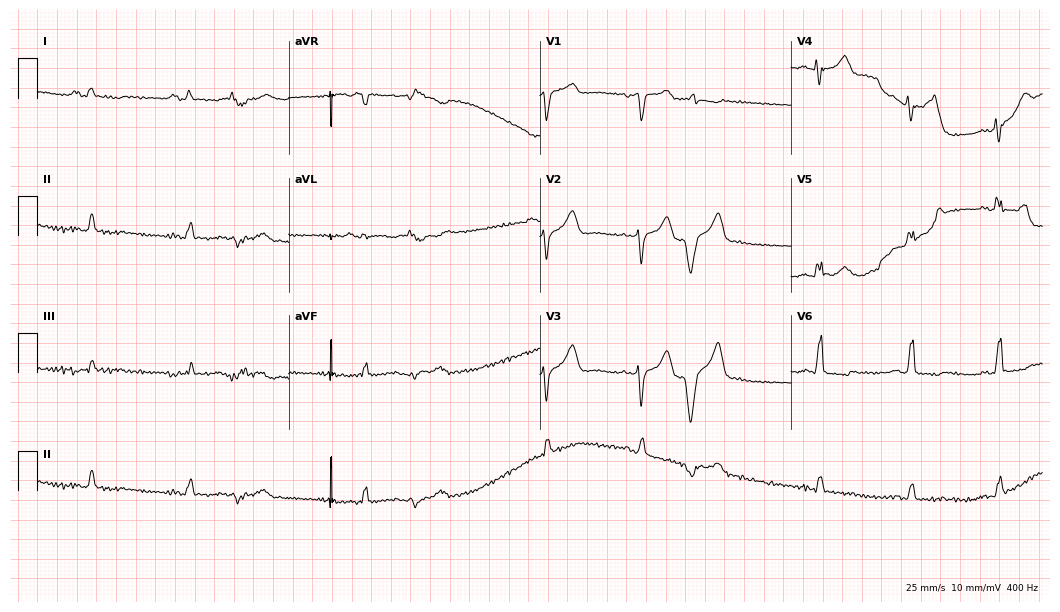
12-lead ECG from a male patient, 66 years old (10.2-second recording at 400 Hz). No first-degree AV block, right bundle branch block, left bundle branch block, sinus bradycardia, atrial fibrillation or sinus tachycardia recorded for this tracing.